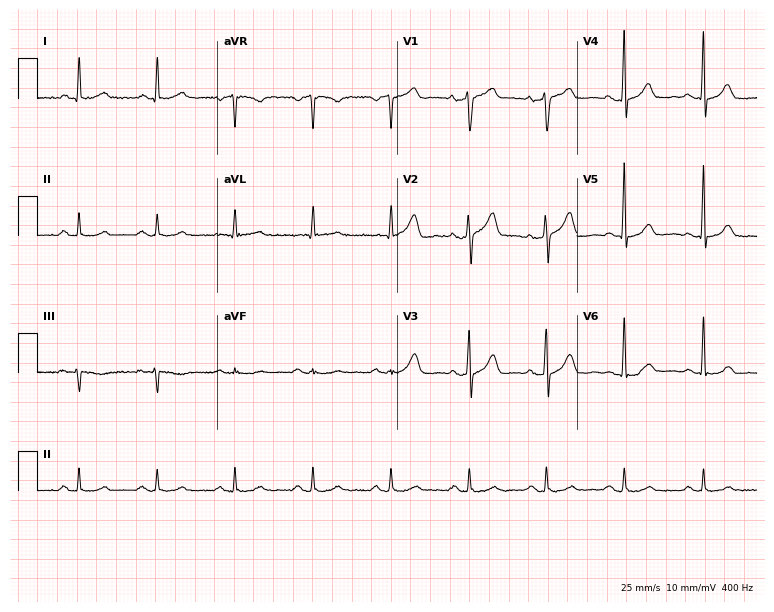
Resting 12-lead electrocardiogram (7.3-second recording at 400 Hz). Patient: a 56-year-old man. None of these six findings is recorded: first-degree AV block, right bundle branch block, left bundle branch block, sinus bradycardia, atrial fibrillation, sinus tachycardia.